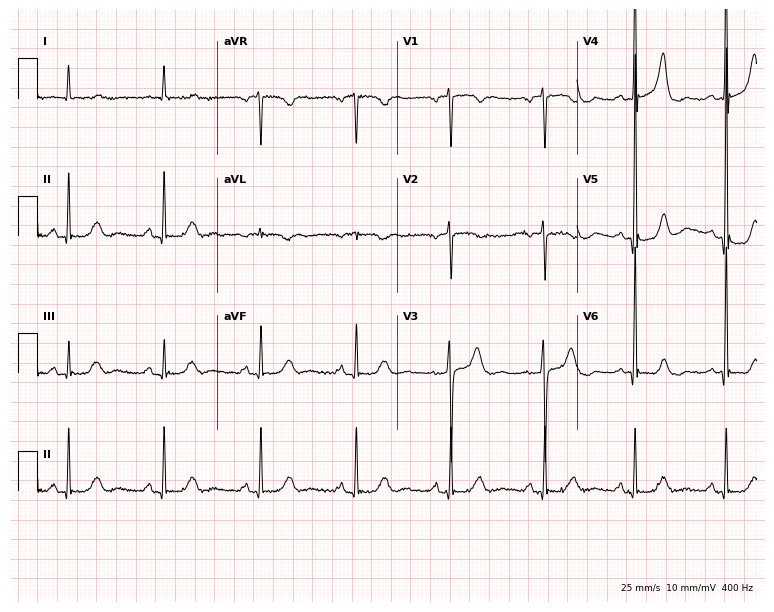
Electrocardiogram (7.3-second recording at 400 Hz), a woman, 75 years old. Of the six screened findings (first-degree AV block, right bundle branch block (RBBB), left bundle branch block (LBBB), sinus bradycardia, atrial fibrillation (AF), sinus tachycardia), none is recorded. Findings outside these six are not listed.